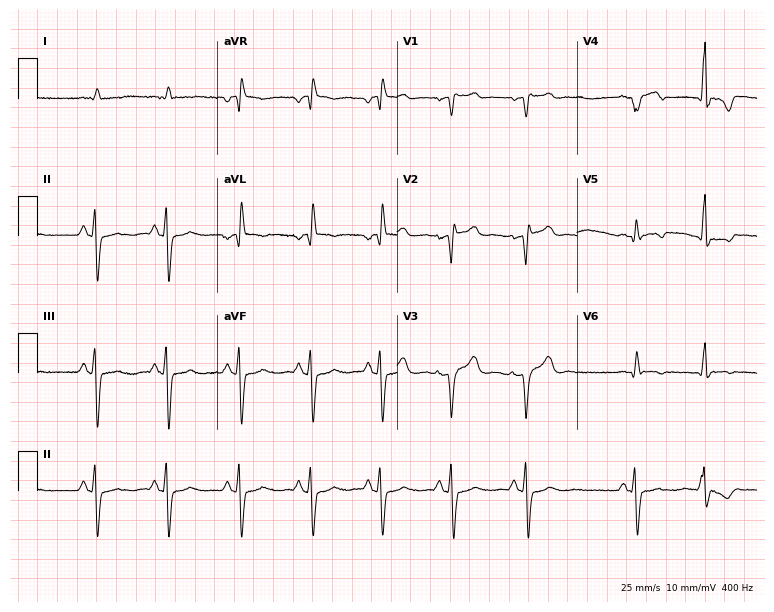
12-lead ECG from a man, 81 years old. Screened for six findings — first-degree AV block, right bundle branch block (RBBB), left bundle branch block (LBBB), sinus bradycardia, atrial fibrillation (AF), sinus tachycardia — none is recorded. Only these six findings were labelled.